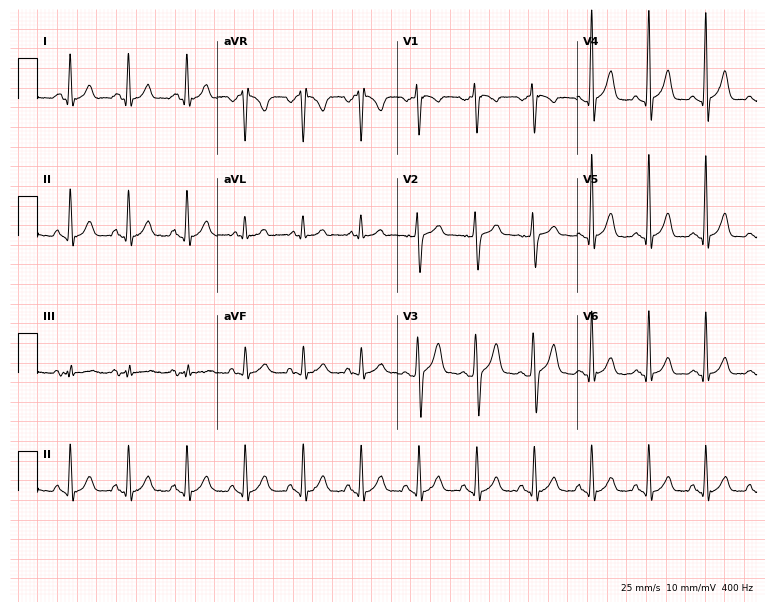
Resting 12-lead electrocardiogram. Patient: a 47-year-old male. The tracing shows sinus tachycardia (a sinus rate of 100 beats per minute or more).